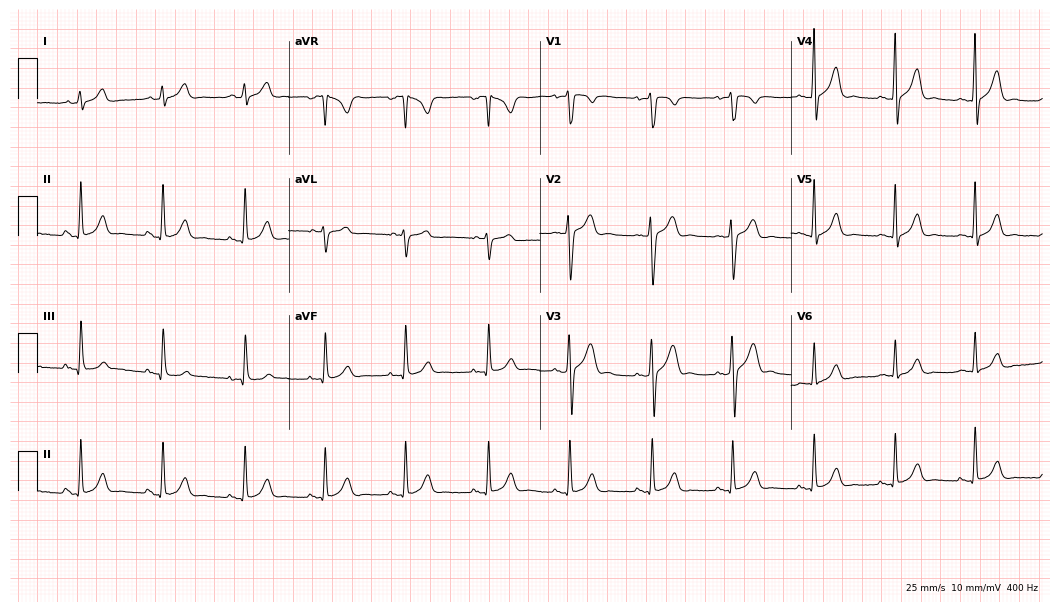
12-lead ECG from a male, 25 years old. Recorded interpretation: within normal limits.